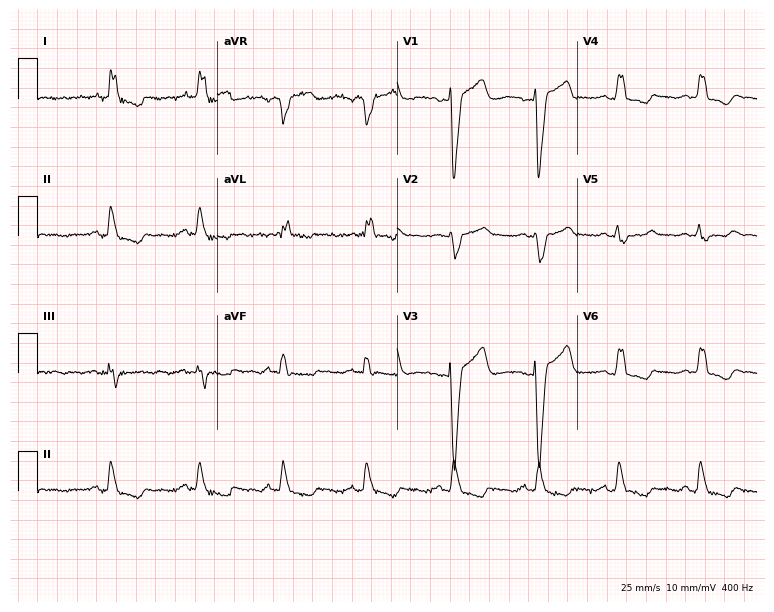
Standard 12-lead ECG recorded from an 82-year-old female (7.3-second recording at 400 Hz). The tracing shows left bundle branch block.